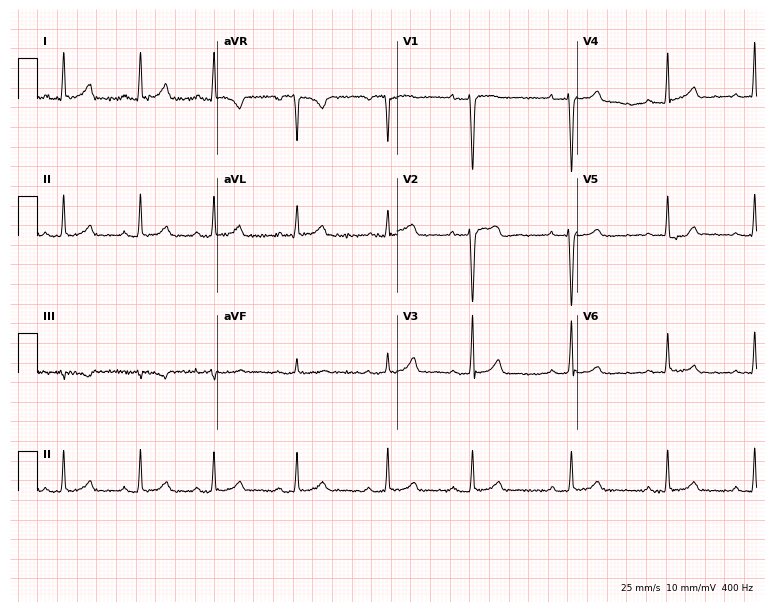
12-lead ECG from a 44-year-old woman. Shows first-degree AV block.